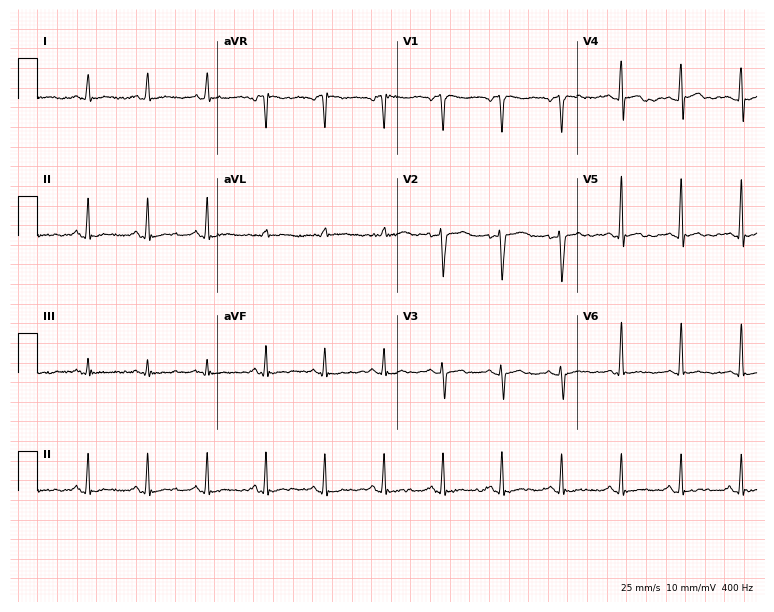
Resting 12-lead electrocardiogram. Patient: a female, 33 years old. None of these six findings is recorded: first-degree AV block, right bundle branch block, left bundle branch block, sinus bradycardia, atrial fibrillation, sinus tachycardia.